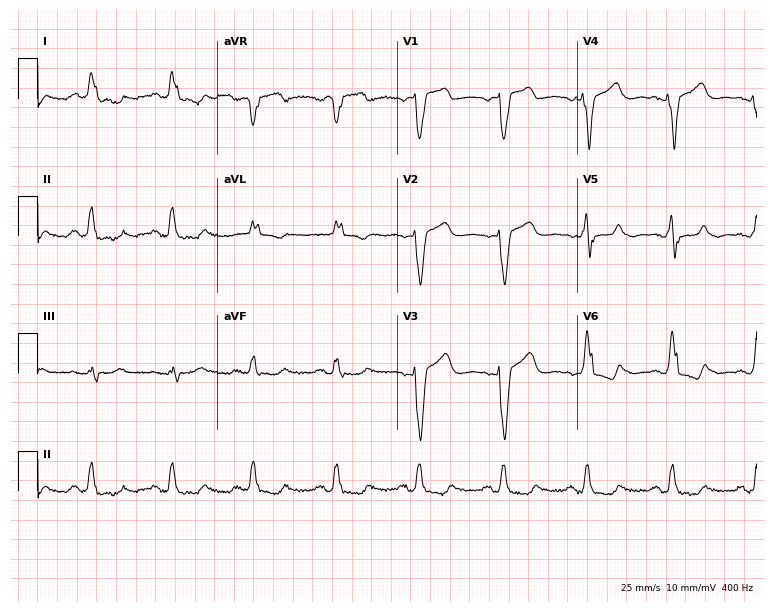
ECG (7.3-second recording at 400 Hz) — a woman, 79 years old. Findings include left bundle branch block (LBBB).